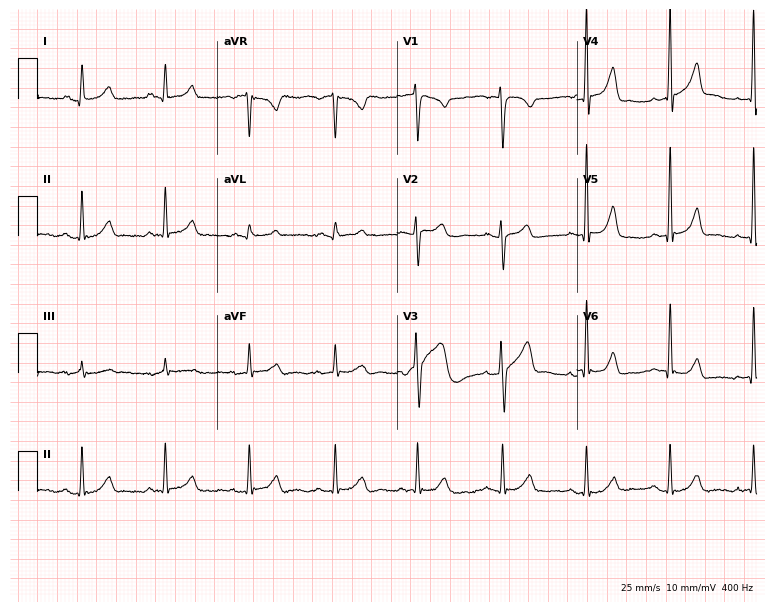
ECG (7.3-second recording at 400 Hz) — a 29-year-old man. Labelled as a normal ECG.